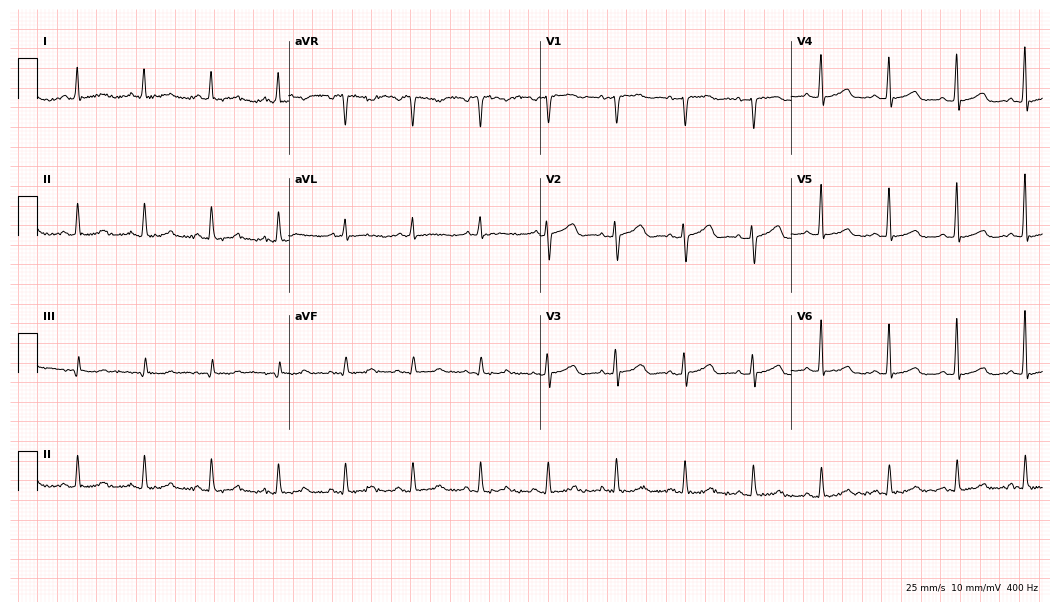
12-lead ECG from a 66-year-old female patient (10.2-second recording at 400 Hz). Recorded interpretation: within normal limits.